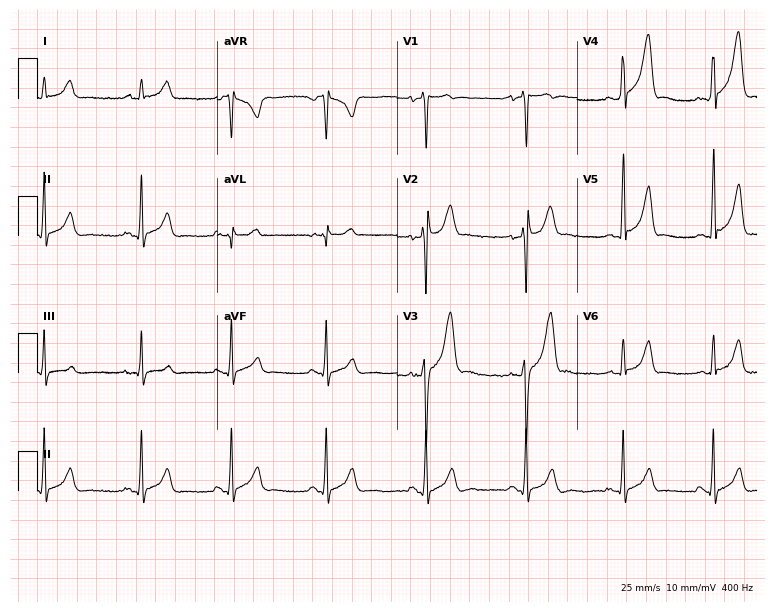
Electrocardiogram (7.3-second recording at 400 Hz), a 21-year-old male patient. Of the six screened findings (first-degree AV block, right bundle branch block, left bundle branch block, sinus bradycardia, atrial fibrillation, sinus tachycardia), none is recorded. Only these six findings were labelled.